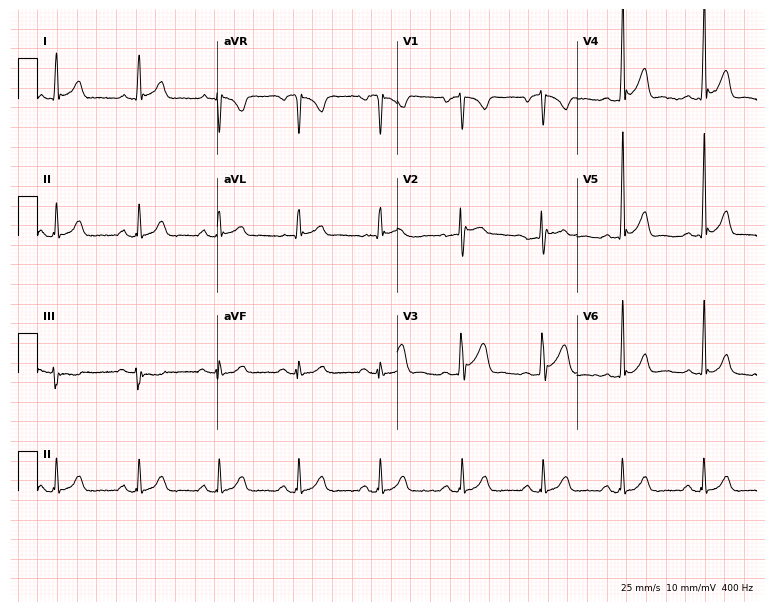
ECG (7.3-second recording at 400 Hz) — a male, 48 years old. Labelled as a normal ECG.